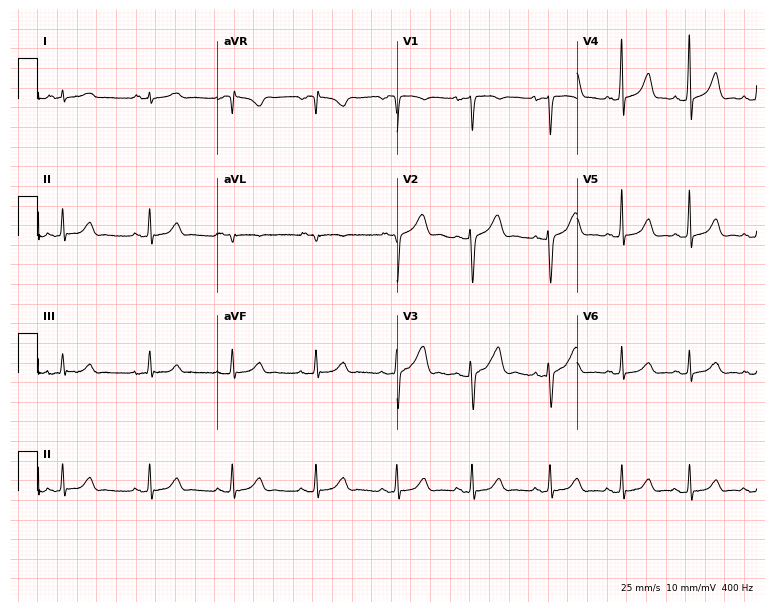
Standard 12-lead ECG recorded from a 21-year-old female patient. Read as a normal ECG.